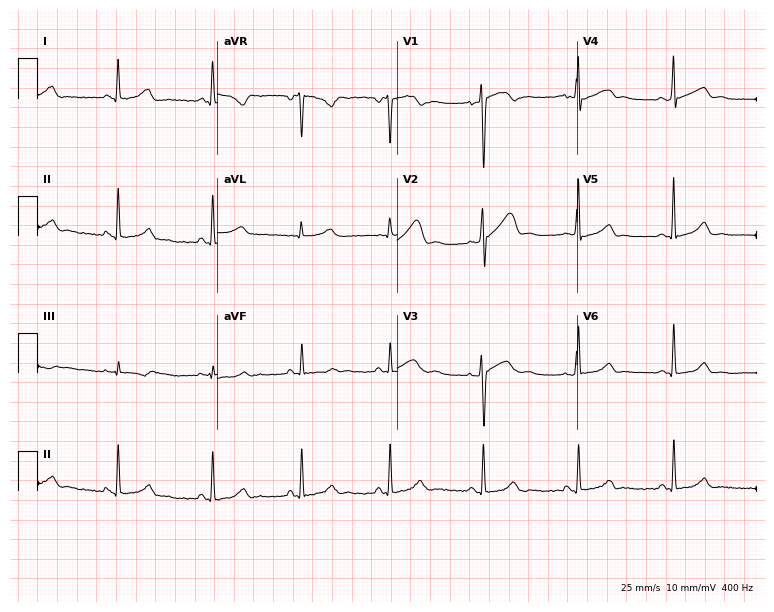
Electrocardiogram, a female, 39 years old. Of the six screened findings (first-degree AV block, right bundle branch block, left bundle branch block, sinus bradycardia, atrial fibrillation, sinus tachycardia), none is recorded. Only these six findings were labelled.